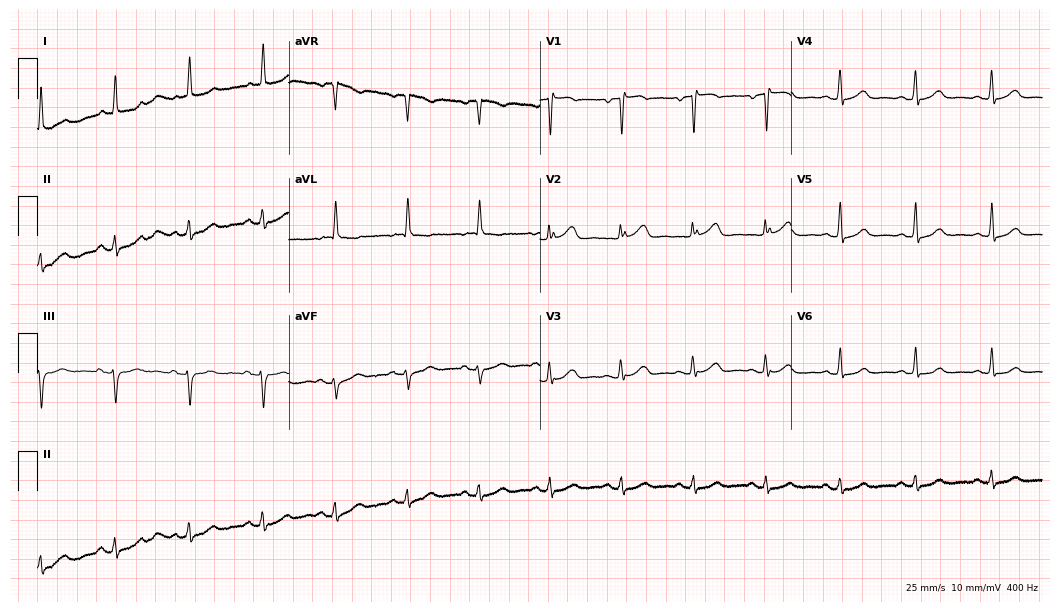
Standard 12-lead ECG recorded from a female, 70 years old. Read as a normal ECG.